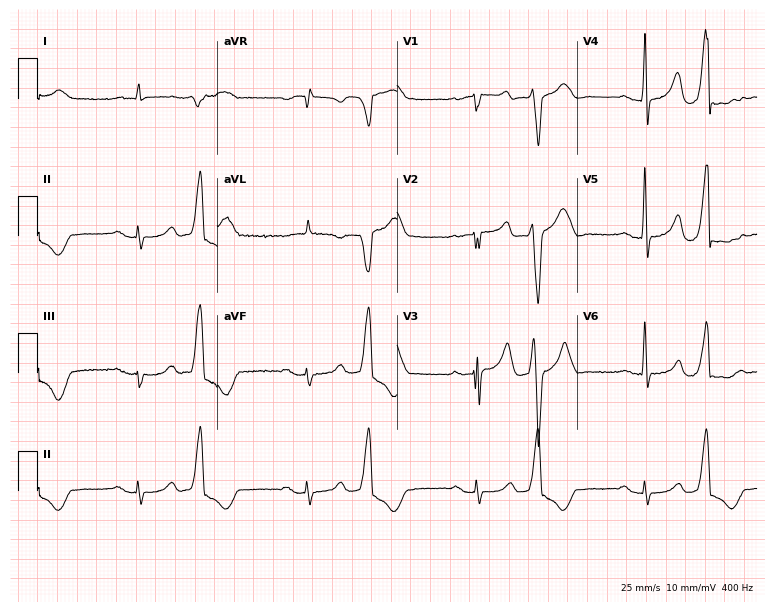
Standard 12-lead ECG recorded from a 67-year-old male patient (7.3-second recording at 400 Hz). None of these six findings is recorded: first-degree AV block, right bundle branch block, left bundle branch block, sinus bradycardia, atrial fibrillation, sinus tachycardia. Other findings, if any, are not listed.